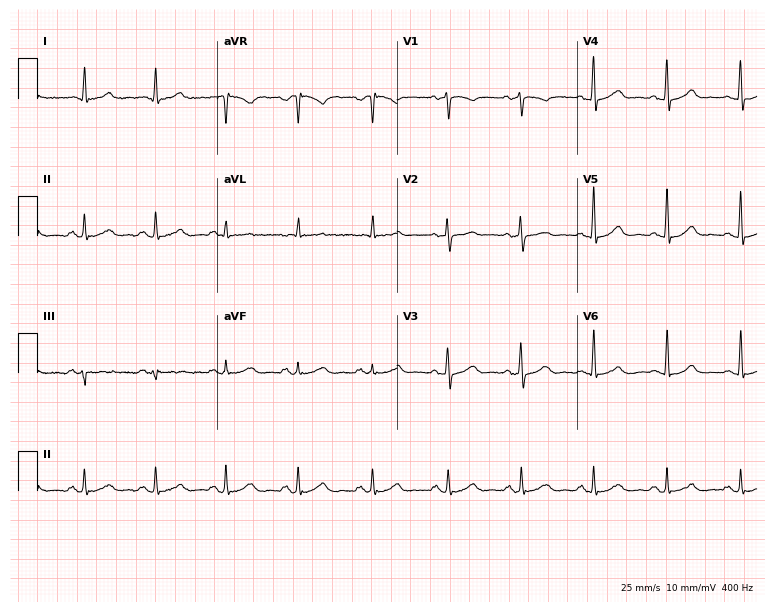
12-lead ECG (7.3-second recording at 400 Hz) from a 61-year-old female. Labelled as a normal ECG.